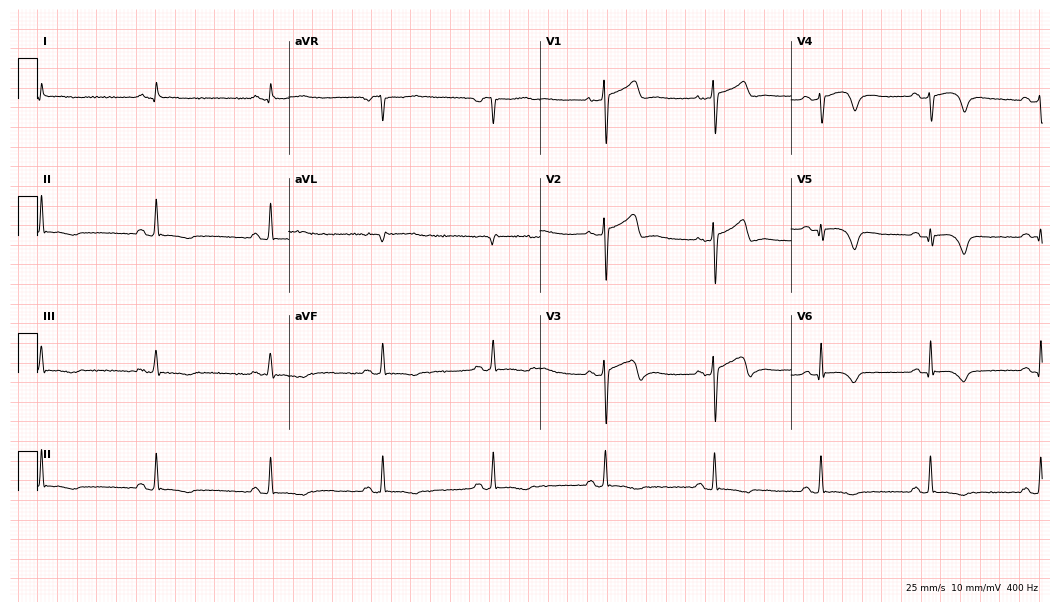
Resting 12-lead electrocardiogram. Patient: a 54-year-old male. None of these six findings is recorded: first-degree AV block, right bundle branch block, left bundle branch block, sinus bradycardia, atrial fibrillation, sinus tachycardia.